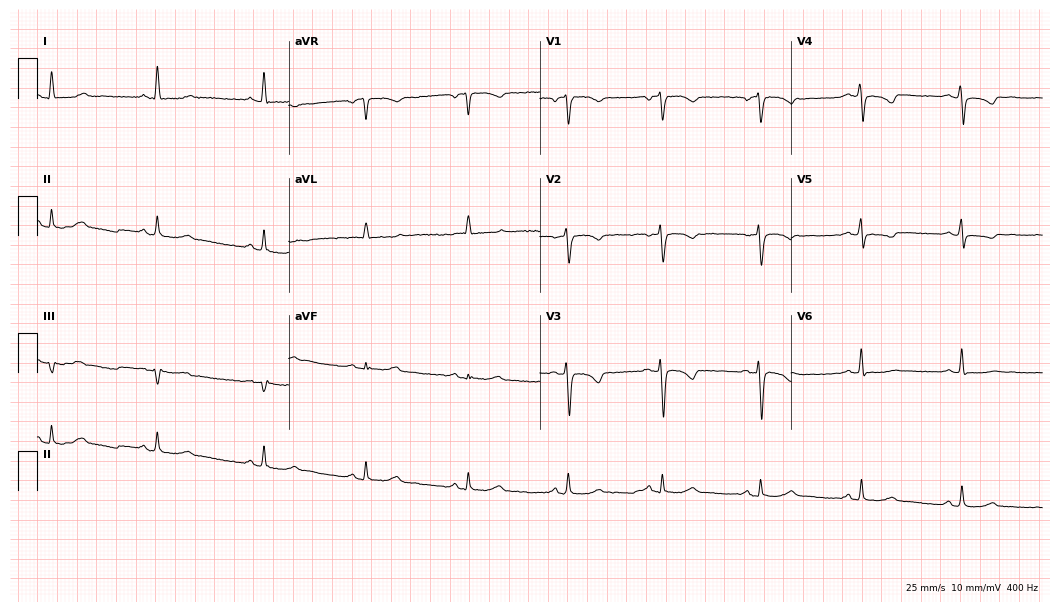
Resting 12-lead electrocardiogram (10.2-second recording at 400 Hz). Patient: a woman, 52 years old. None of these six findings is recorded: first-degree AV block, right bundle branch block, left bundle branch block, sinus bradycardia, atrial fibrillation, sinus tachycardia.